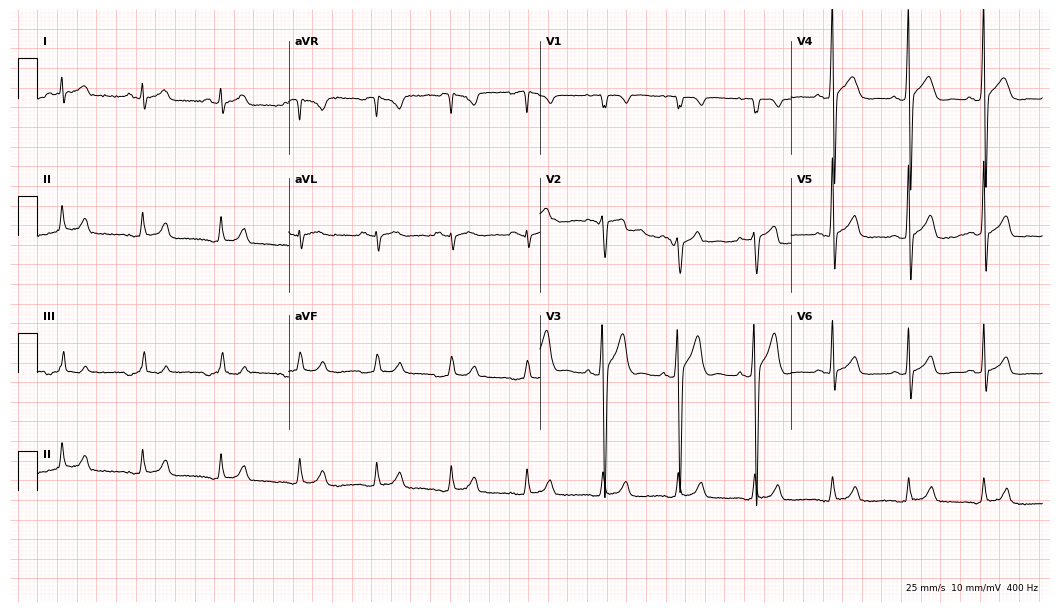
12-lead ECG from a 38-year-old male. Recorded interpretation: within normal limits.